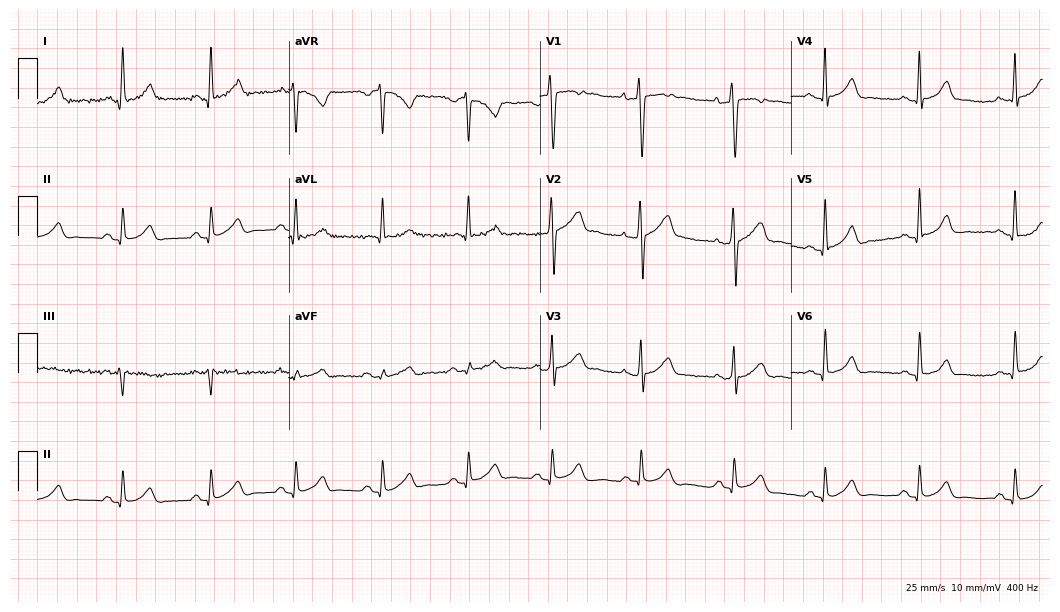
Electrocardiogram, a 43-year-old man. Overall reading on record: normal ECG.